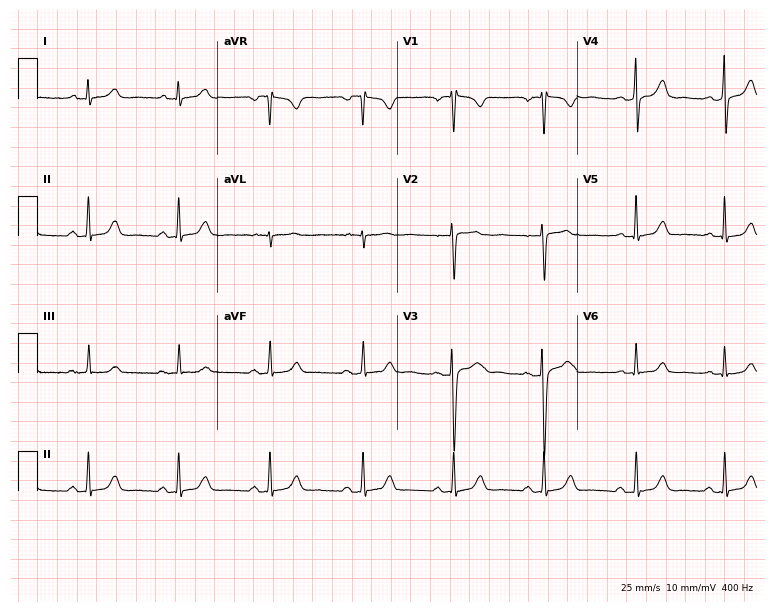
12-lead ECG from a female patient, 39 years old. Labelled as a normal ECG.